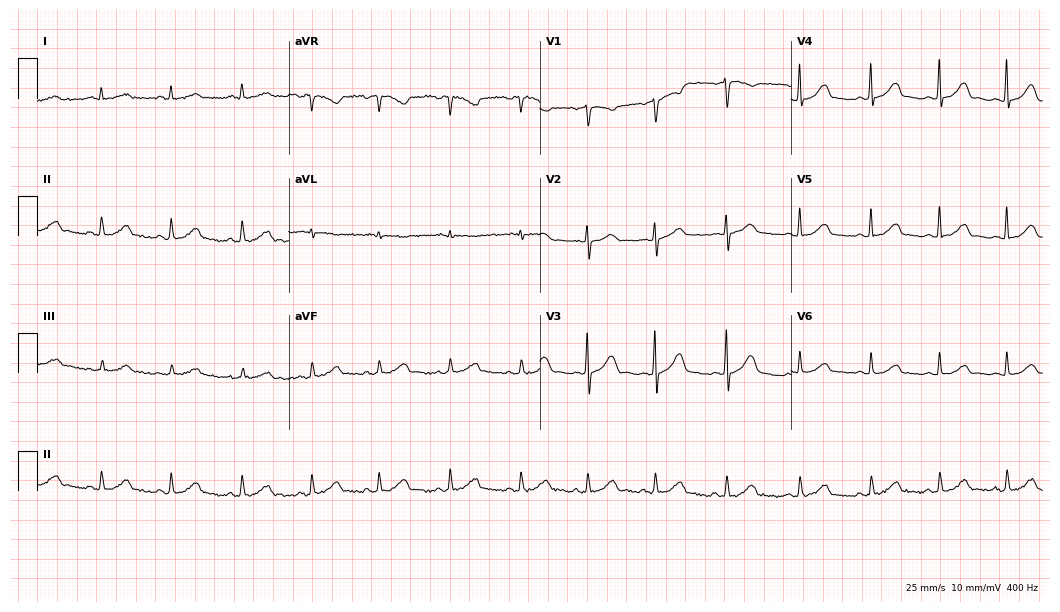
12-lead ECG (10.2-second recording at 400 Hz) from a 44-year-old woman. Labelled as a normal ECG.